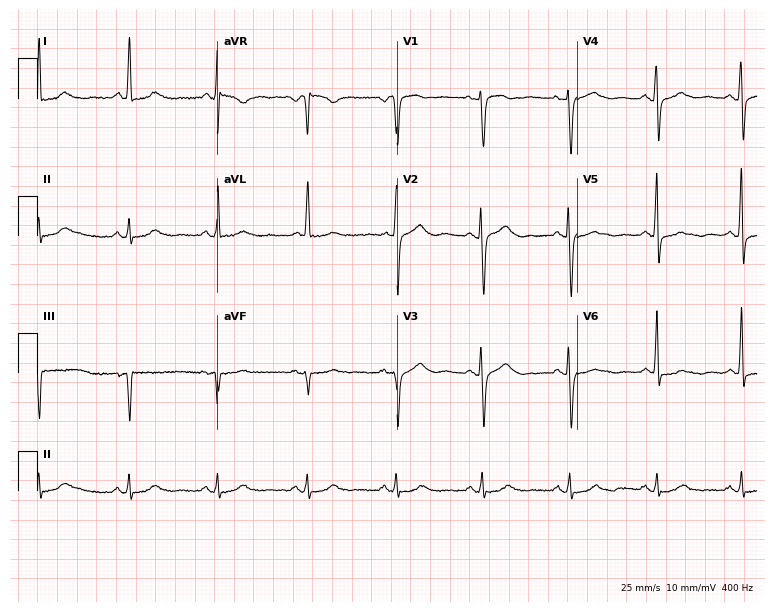
ECG (7.3-second recording at 400 Hz) — an 83-year-old woman. Screened for six findings — first-degree AV block, right bundle branch block (RBBB), left bundle branch block (LBBB), sinus bradycardia, atrial fibrillation (AF), sinus tachycardia — none is recorded. Other findings, if any, are not listed.